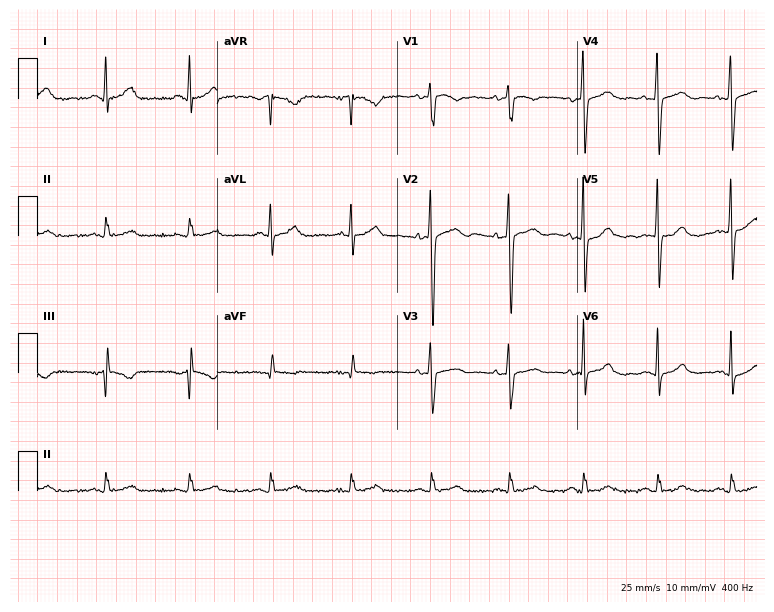
12-lead ECG from a man, 52 years old. No first-degree AV block, right bundle branch block, left bundle branch block, sinus bradycardia, atrial fibrillation or sinus tachycardia recorded for this tracing.